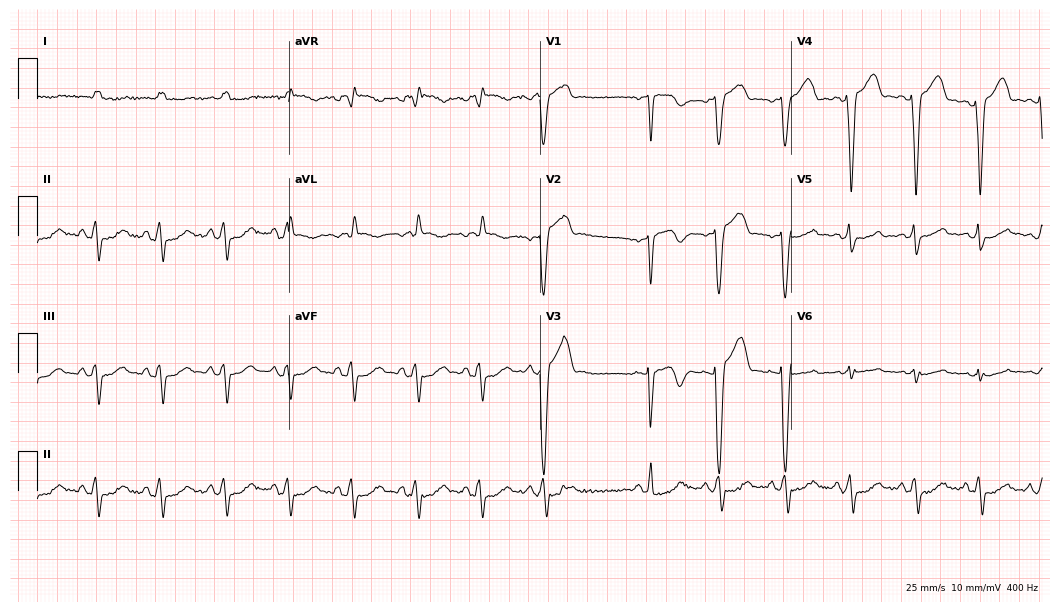
ECG — a male, 84 years old. Screened for six findings — first-degree AV block, right bundle branch block (RBBB), left bundle branch block (LBBB), sinus bradycardia, atrial fibrillation (AF), sinus tachycardia — none is recorded.